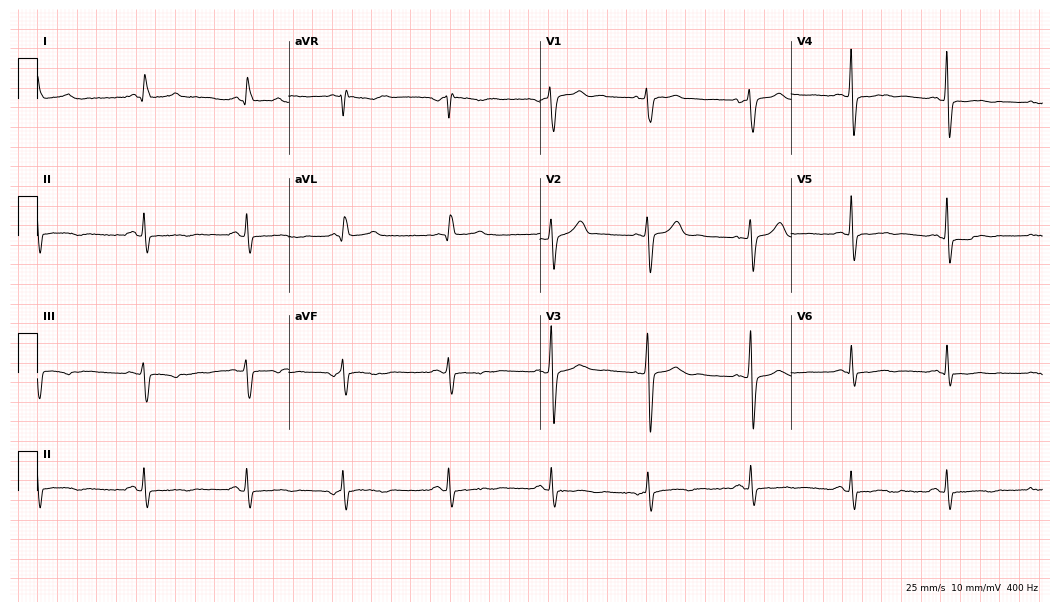
12-lead ECG from a 50-year-old man. Screened for six findings — first-degree AV block, right bundle branch block, left bundle branch block, sinus bradycardia, atrial fibrillation, sinus tachycardia — none is recorded. Other findings, if any, are not listed.